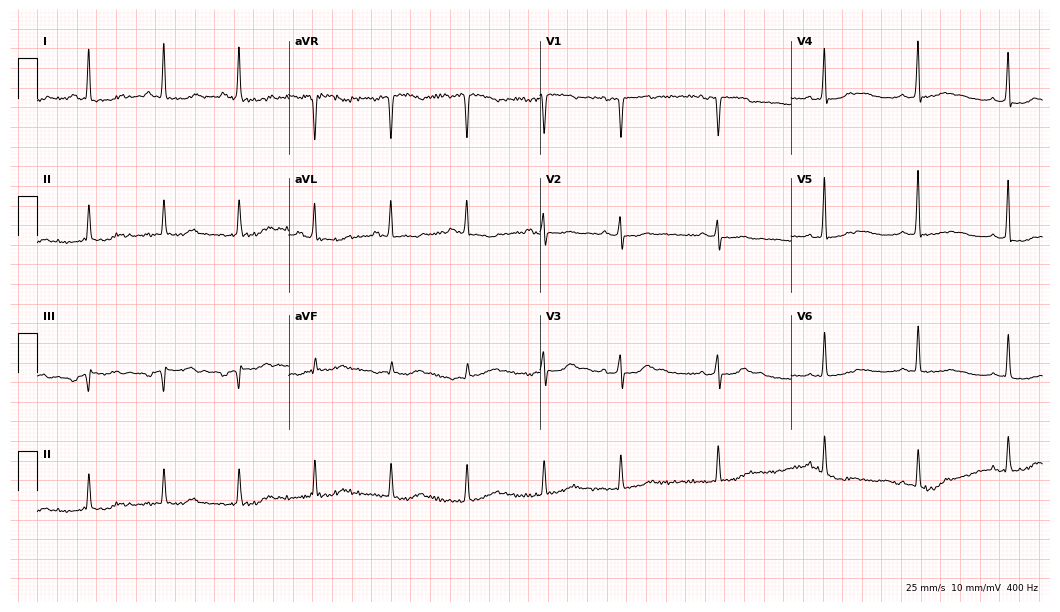
12-lead ECG from a 62-year-old female (10.2-second recording at 400 Hz). No first-degree AV block, right bundle branch block (RBBB), left bundle branch block (LBBB), sinus bradycardia, atrial fibrillation (AF) or sinus tachycardia recorded for this tracing. Only these six findings were labelled.